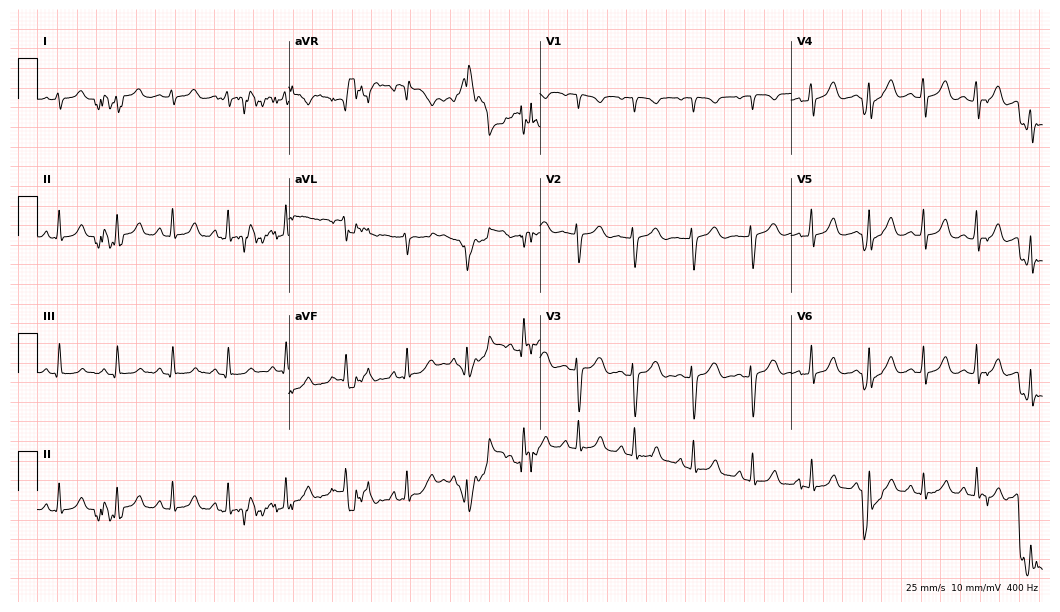
Resting 12-lead electrocardiogram (10.2-second recording at 400 Hz). Patient: a 20-year-old woman. None of these six findings is recorded: first-degree AV block, right bundle branch block, left bundle branch block, sinus bradycardia, atrial fibrillation, sinus tachycardia.